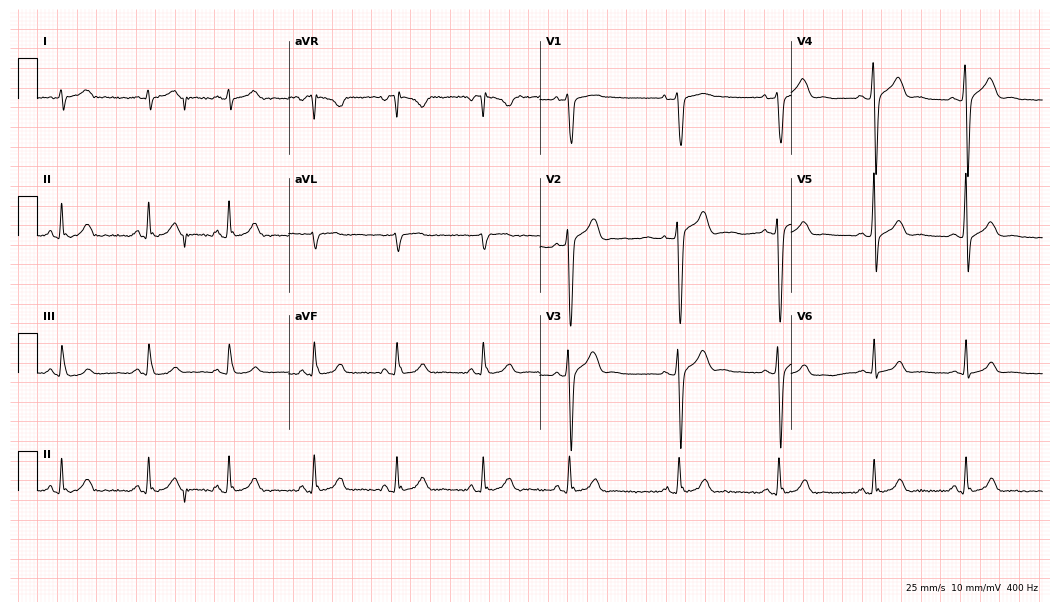
Electrocardiogram, a male, 21 years old. Of the six screened findings (first-degree AV block, right bundle branch block (RBBB), left bundle branch block (LBBB), sinus bradycardia, atrial fibrillation (AF), sinus tachycardia), none is recorded.